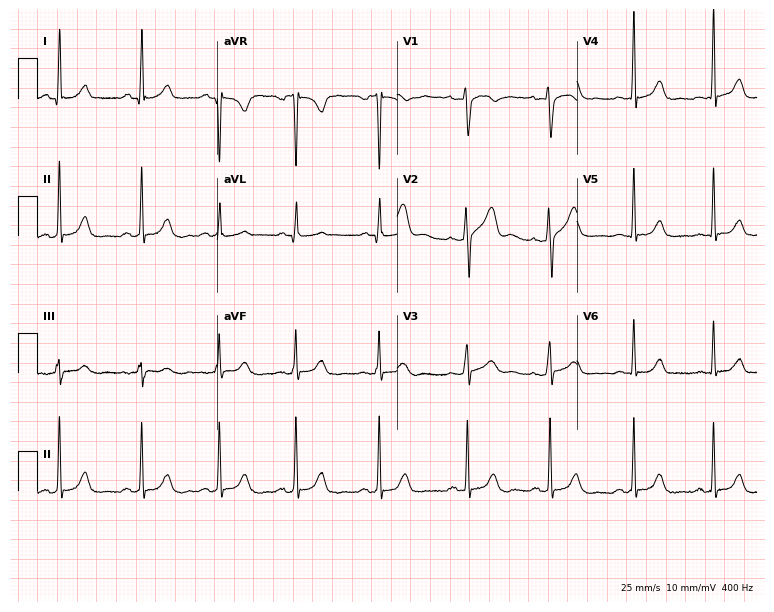
12-lead ECG from a 24-year-old female patient. Recorded interpretation: within normal limits.